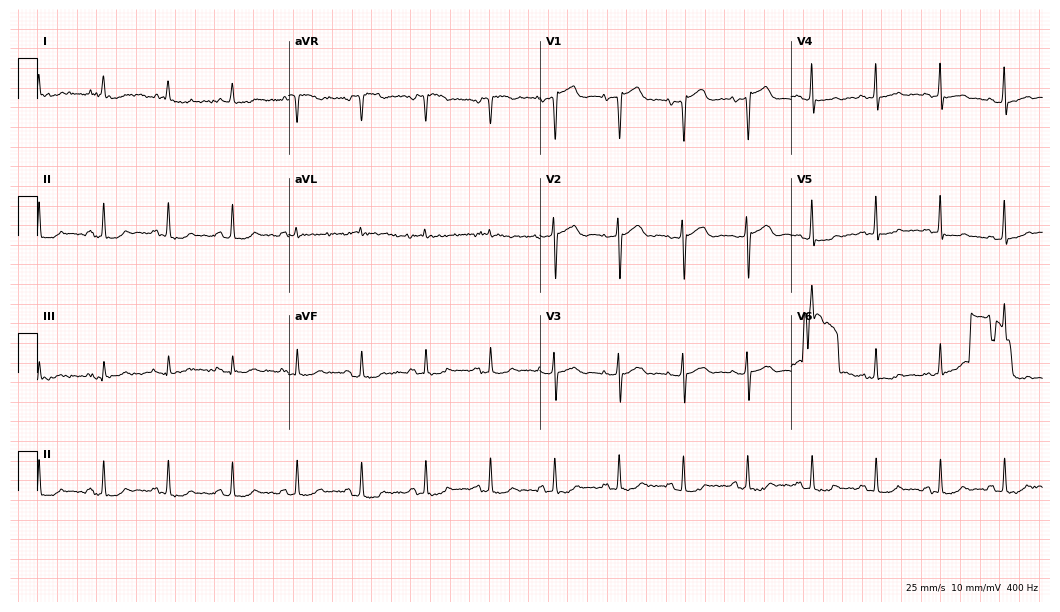
Standard 12-lead ECG recorded from an 85-year-old female patient. None of these six findings is recorded: first-degree AV block, right bundle branch block, left bundle branch block, sinus bradycardia, atrial fibrillation, sinus tachycardia. Other findings, if any, are not listed.